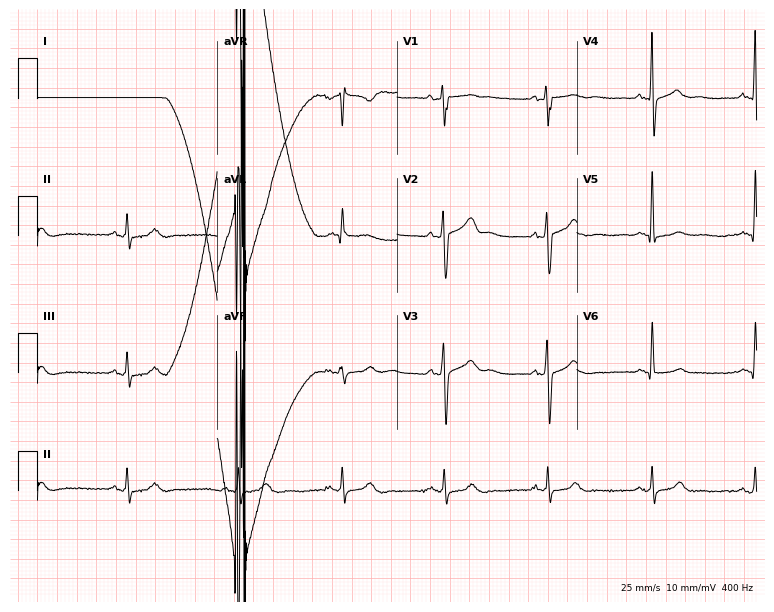
12-lead ECG (7.3-second recording at 400 Hz) from a male, 55 years old. Screened for six findings — first-degree AV block, right bundle branch block, left bundle branch block, sinus bradycardia, atrial fibrillation, sinus tachycardia — none is recorded. Only these six findings were labelled.